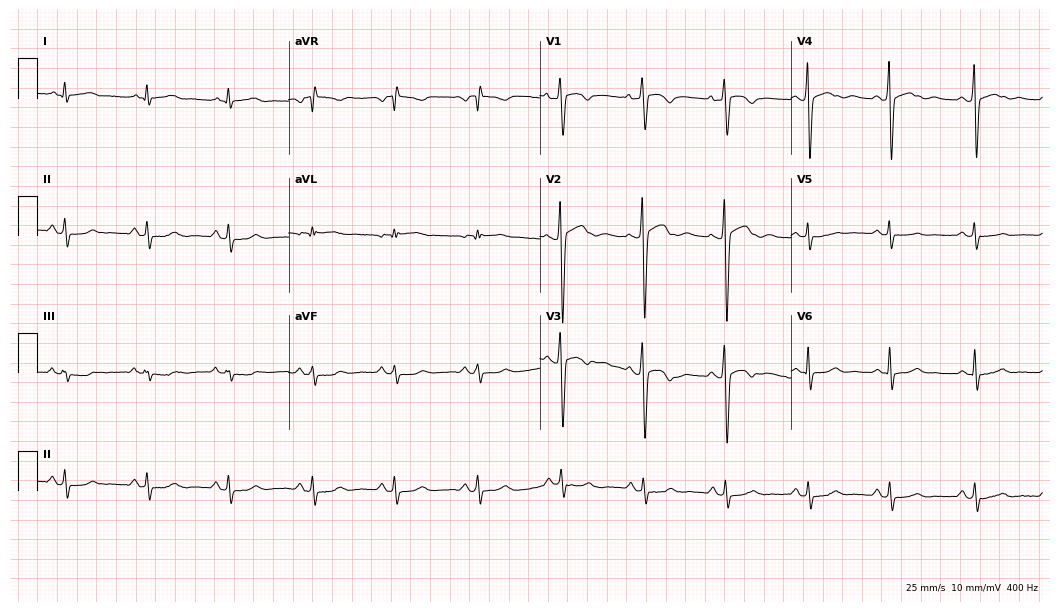
Resting 12-lead electrocardiogram. Patient: a 57-year-old man. None of these six findings is recorded: first-degree AV block, right bundle branch block, left bundle branch block, sinus bradycardia, atrial fibrillation, sinus tachycardia.